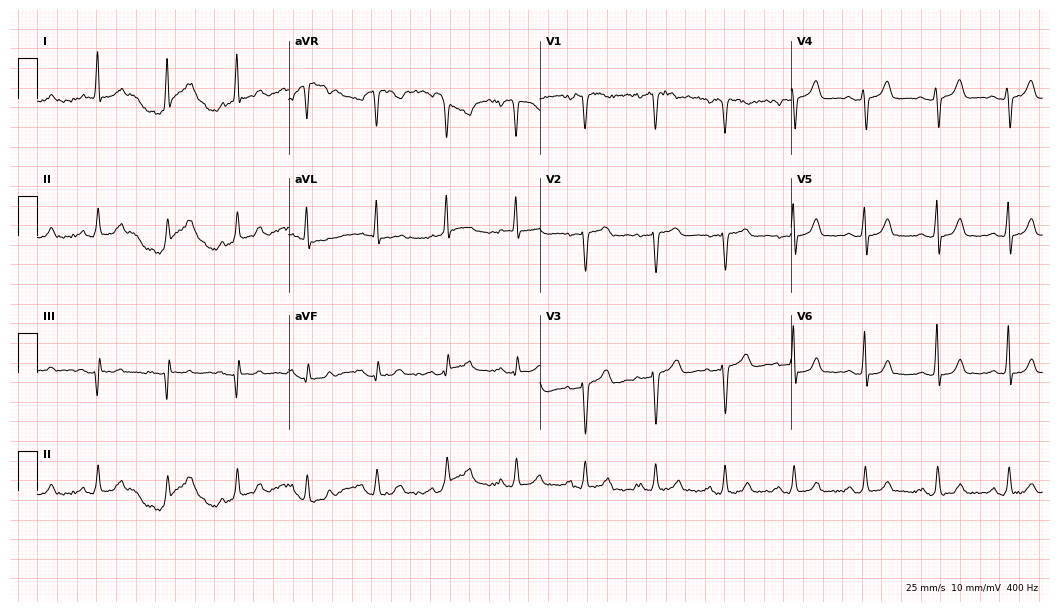
12-lead ECG from a female patient, 62 years old. Screened for six findings — first-degree AV block, right bundle branch block, left bundle branch block, sinus bradycardia, atrial fibrillation, sinus tachycardia — none is recorded.